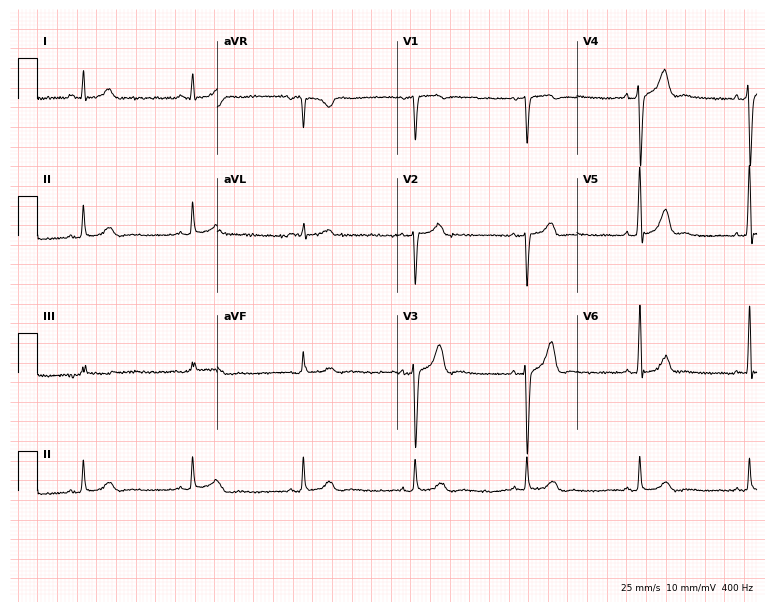
Electrocardiogram, a 57-year-old male patient. Of the six screened findings (first-degree AV block, right bundle branch block (RBBB), left bundle branch block (LBBB), sinus bradycardia, atrial fibrillation (AF), sinus tachycardia), none is recorded. Findings outside these six are not listed.